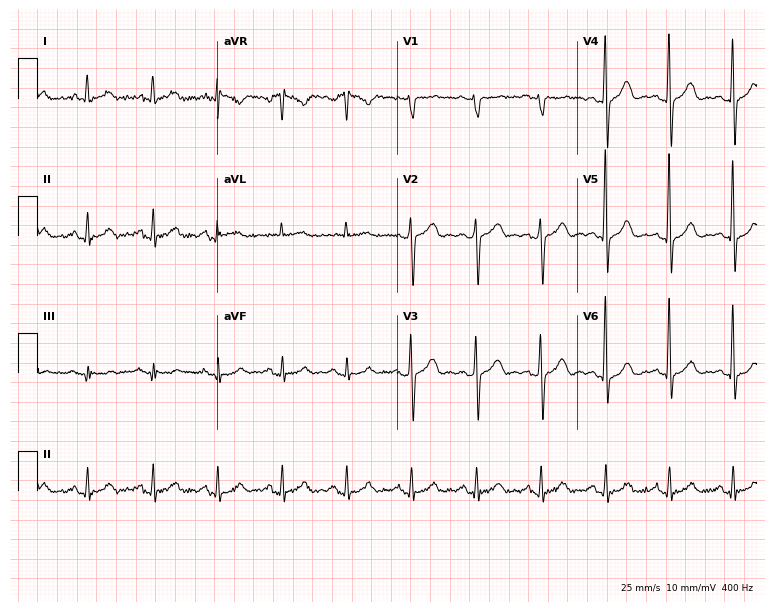
12-lead ECG from a male, 66 years old. Labelled as a normal ECG.